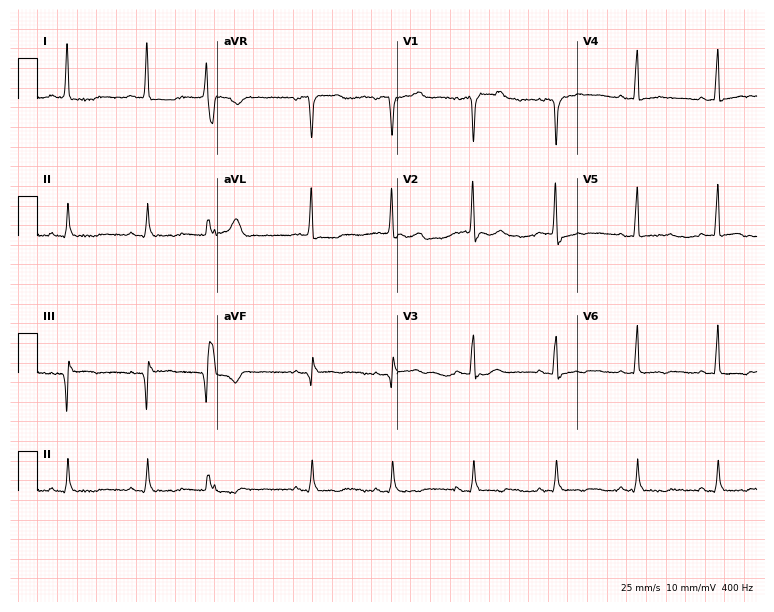
Electrocardiogram (7.3-second recording at 400 Hz), a female, 64 years old. Of the six screened findings (first-degree AV block, right bundle branch block, left bundle branch block, sinus bradycardia, atrial fibrillation, sinus tachycardia), none is recorded.